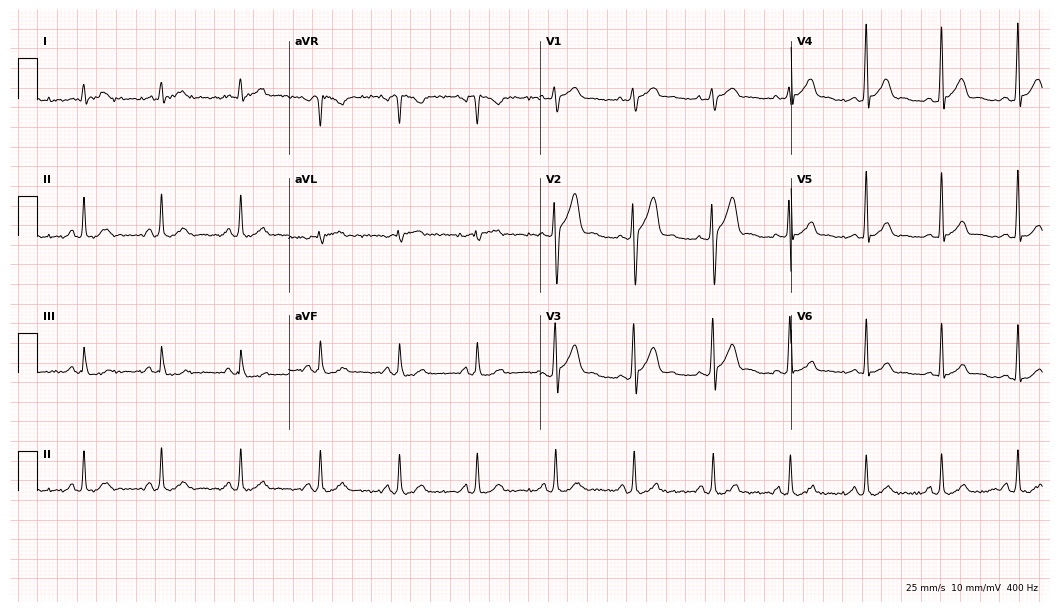
12-lead ECG (10.2-second recording at 400 Hz) from a 25-year-old male patient. Labelled as a normal ECG.